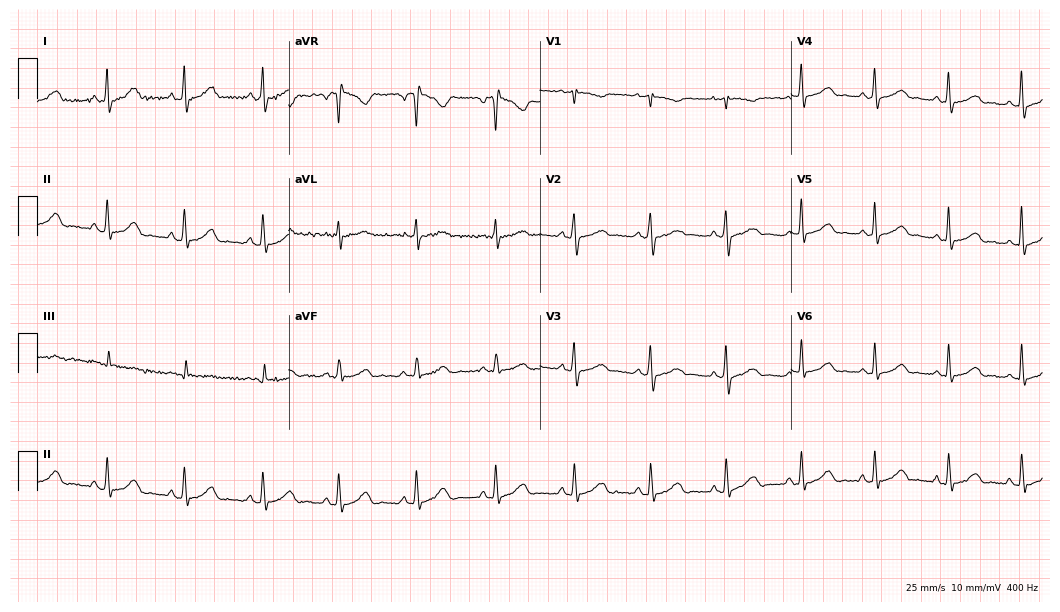
Standard 12-lead ECG recorded from a woman, 36 years old (10.2-second recording at 400 Hz). None of these six findings is recorded: first-degree AV block, right bundle branch block (RBBB), left bundle branch block (LBBB), sinus bradycardia, atrial fibrillation (AF), sinus tachycardia.